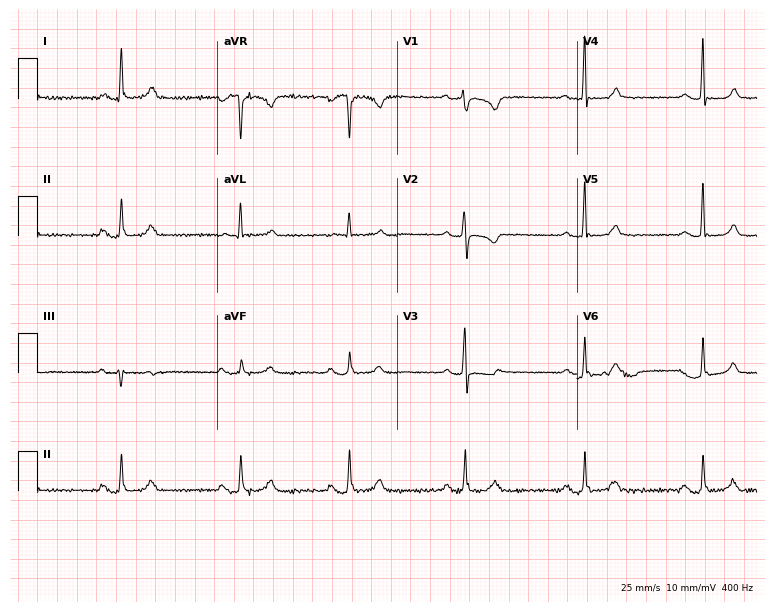
12-lead ECG from a female, 71 years old (7.3-second recording at 400 Hz). No first-degree AV block, right bundle branch block, left bundle branch block, sinus bradycardia, atrial fibrillation or sinus tachycardia recorded for this tracing.